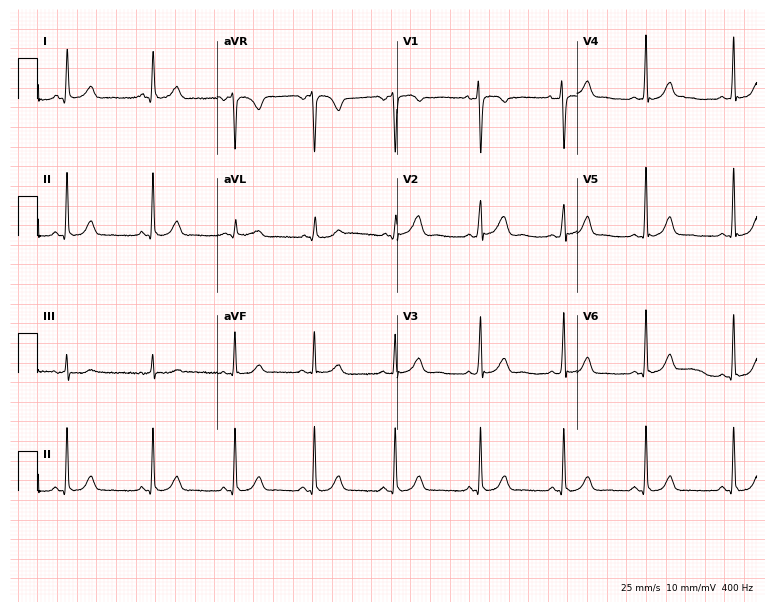
ECG — an 18-year-old woman. Labelled as a normal ECG.